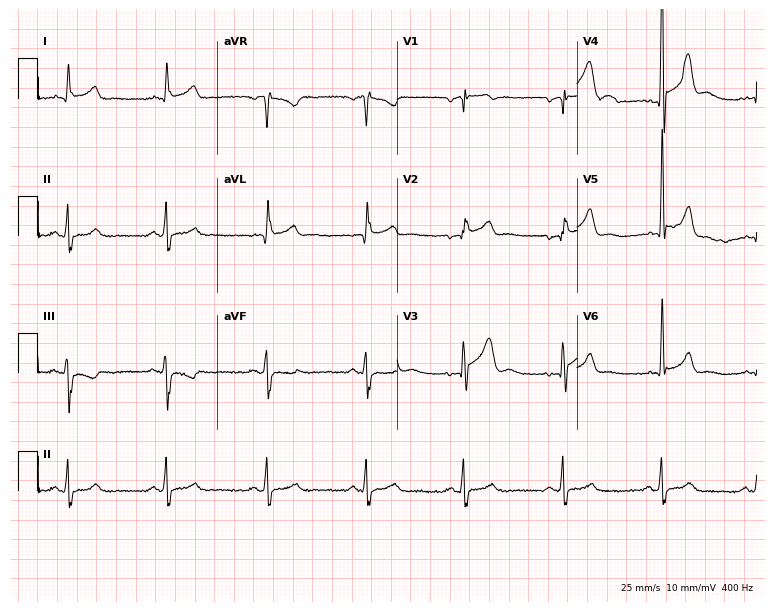
12-lead ECG from a 54-year-old male. Screened for six findings — first-degree AV block, right bundle branch block, left bundle branch block, sinus bradycardia, atrial fibrillation, sinus tachycardia — none is recorded.